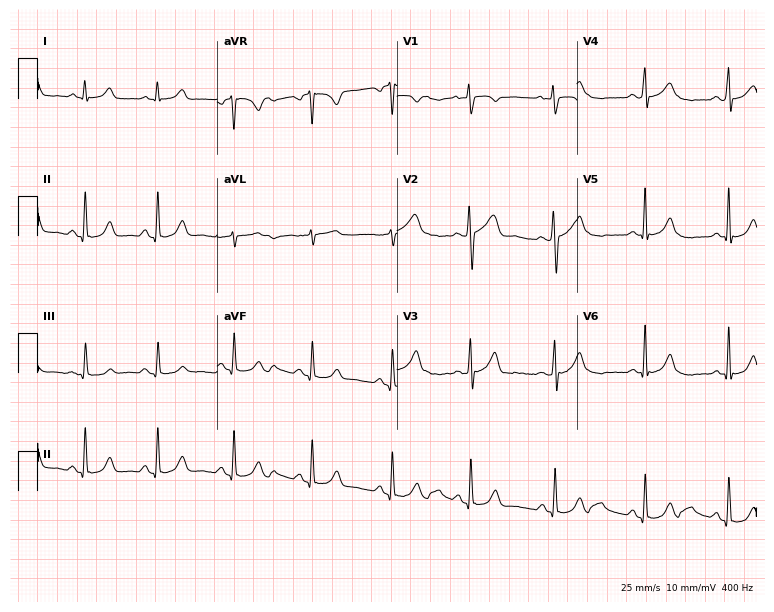
Resting 12-lead electrocardiogram (7.3-second recording at 400 Hz). Patient: a 39-year-old female. None of these six findings is recorded: first-degree AV block, right bundle branch block, left bundle branch block, sinus bradycardia, atrial fibrillation, sinus tachycardia.